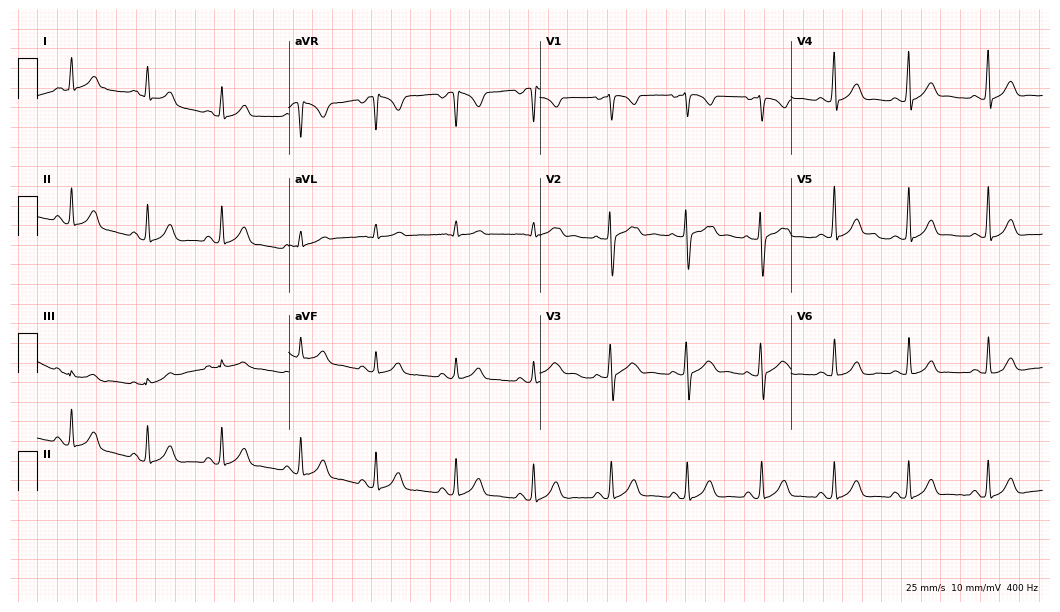
Standard 12-lead ECG recorded from a female, 19 years old. Read as a normal ECG.